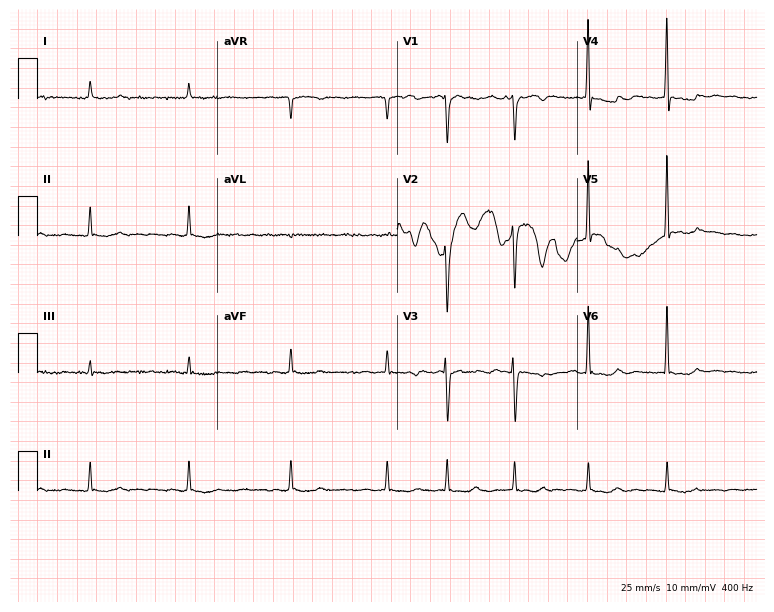
12-lead ECG (7.3-second recording at 400 Hz) from a 57-year-old female patient. Findings include atrial fibrillation.